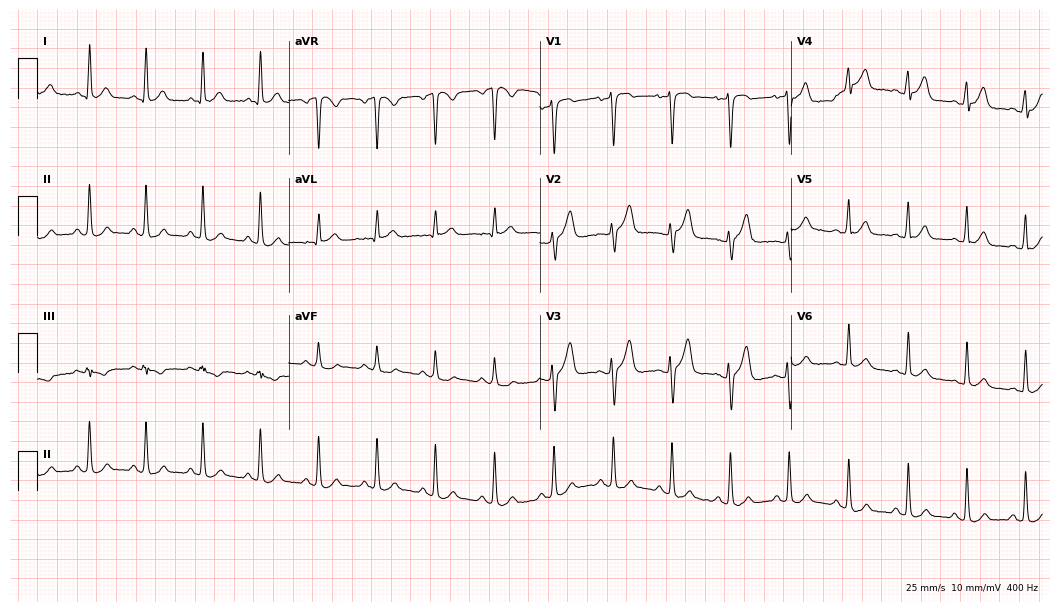
Resting 12-lead electrocardiogram (10.2-second recording at 400 Hz). Patient: a 20-year-old male. The tracing shows sinus tachycardia (a sinus rate of 100 beats per minute or more).